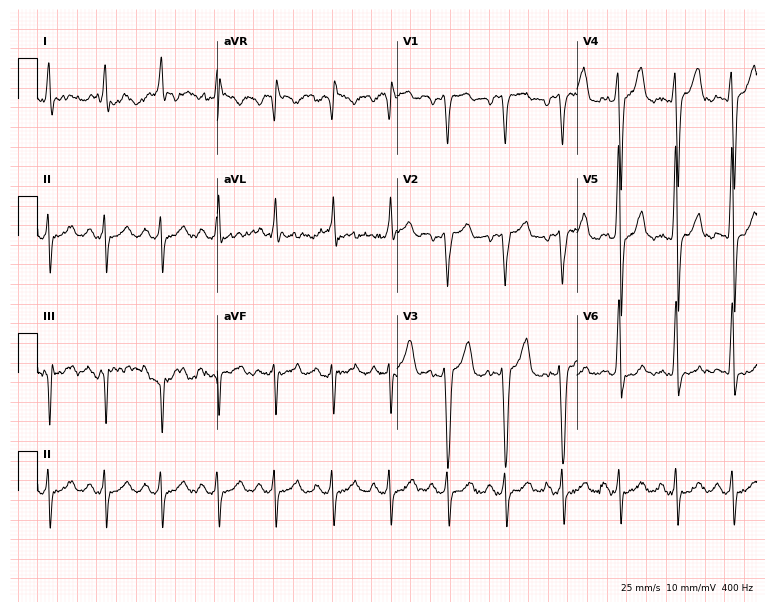
Resting 12-lead electrocardiogram (7.3-second recording at 400 Hz). Patient: a 60-year-old male. The tracing shows sinus tachycardia (a sinus rate of 100 beats per minute or more).